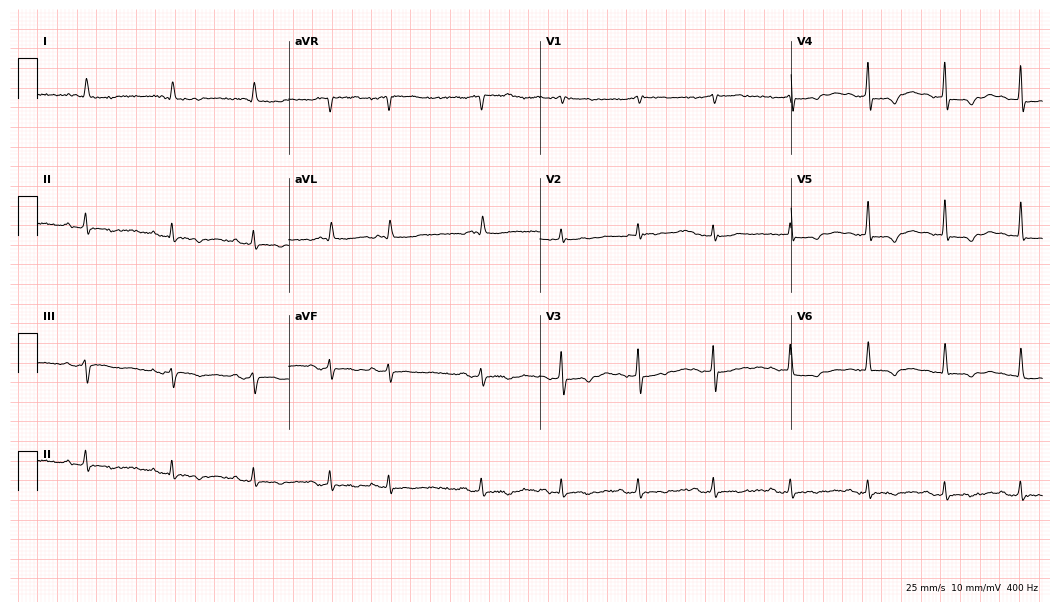
Standard 12-lead ECG recorded from a 77-year-old man (10.2-second recording at 400 Hz). None of these six findings is recorded: first-degree AV block, right bundle branch block (RBBB), left bundle branch block (LBBB), sinus bradycardia, atrial fibrillation (AF), sinus tachycardia.